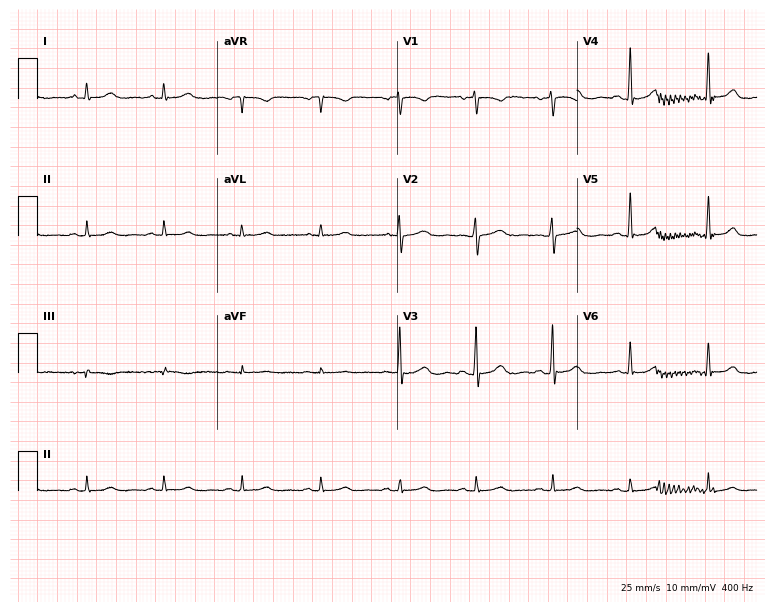
12-lead ECG (7.3-second recording at 400 Hz) from a 67-year-old woman. Labelled as a normal ECG.